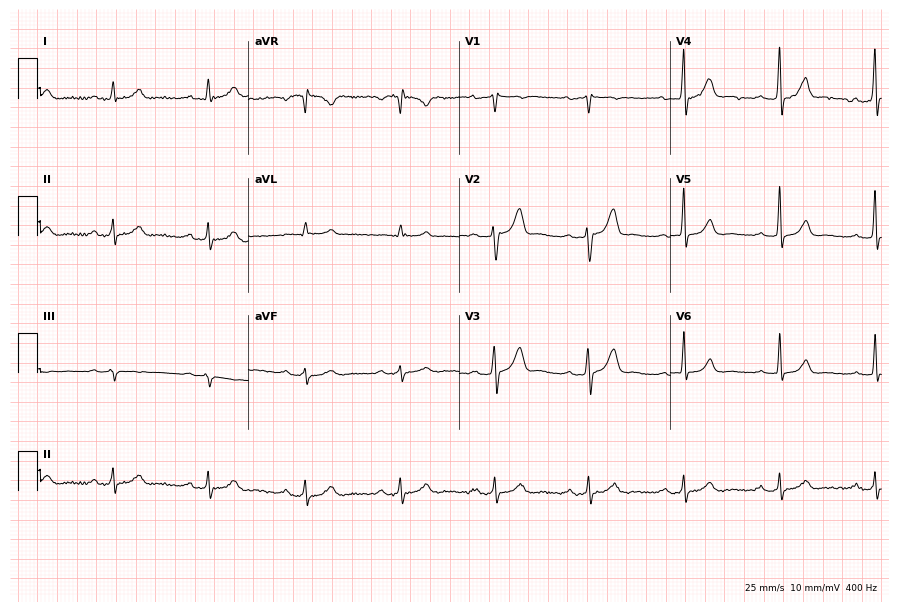
ECG (8.6-second recording at 400 Hz) — a male, 38 years old. Findings include first-degree AV block.